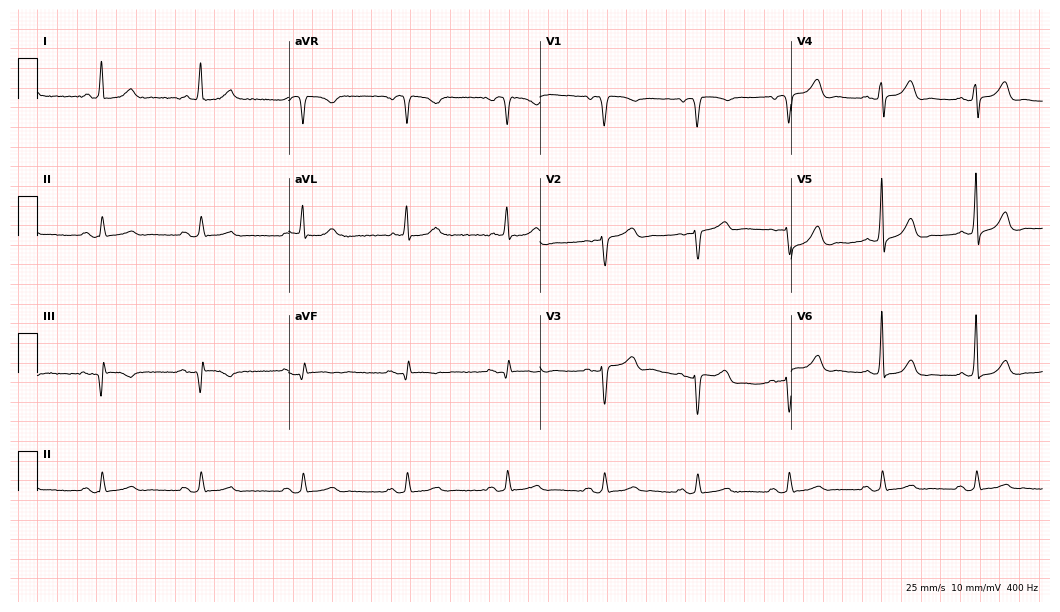
Electrocardiogram, a 66-year-old woman. Of the six screened findings (first-degree AV block, right bundle branch block, left bundle branch block, sinus bradycardia, atrial fibrillation, sinus tachycardia), none is recorded.